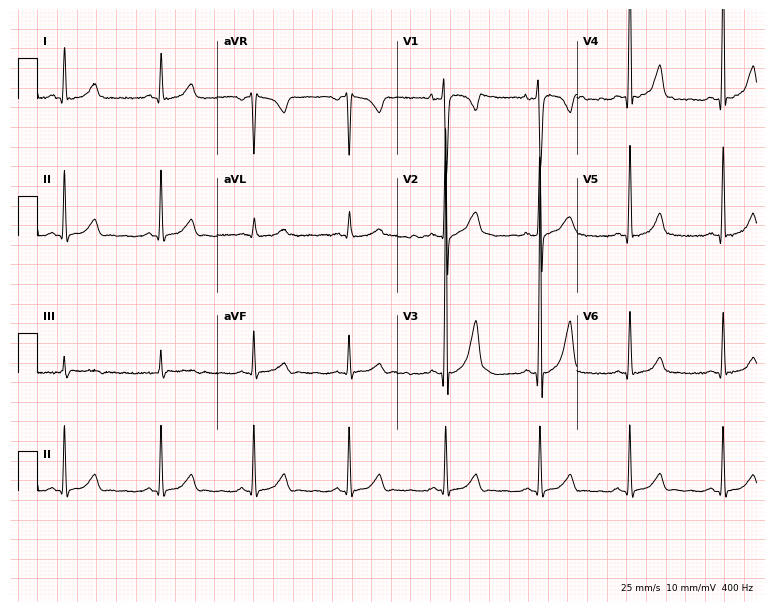
12-lead ECG from a male patient, 18 years old. Labelled as a normal ECG.